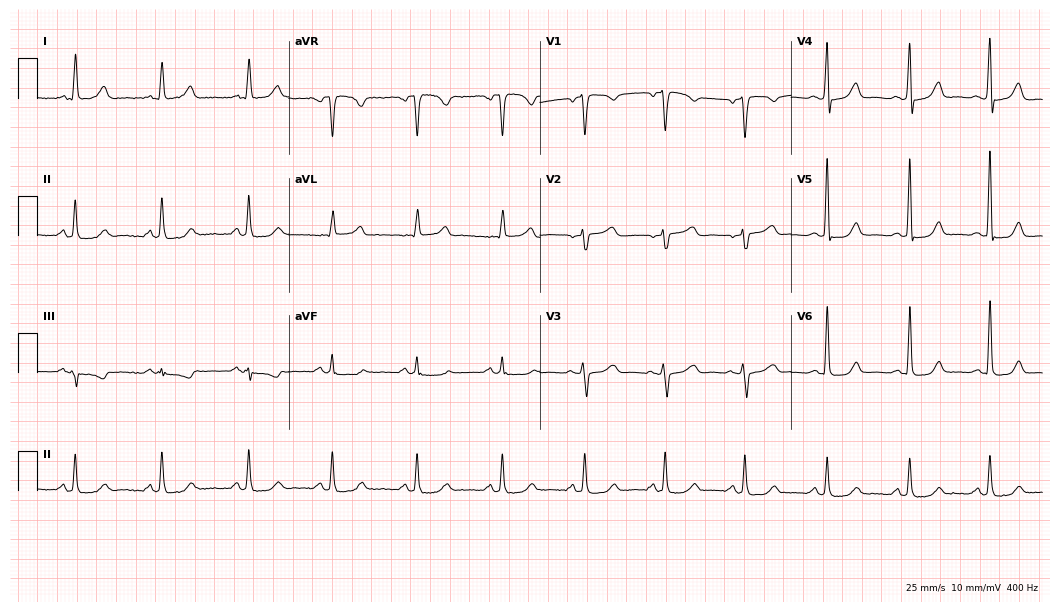
12-lead ECG (10.2-second recording at 400 Hz) from a 54-year-old female. Screened for six findings — first-degree AV block, right bundle branch block, left bundle branch block, sinus bradycardia, atrial fibrillation, sinus tachycardia — none is recorded.